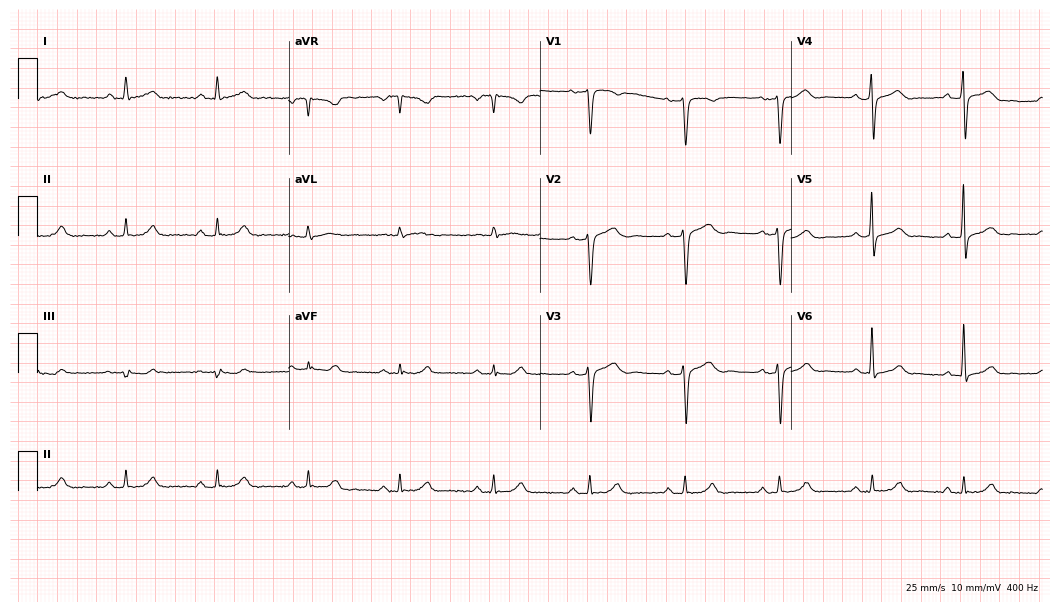
Electrocardiogram (10.2-second recording at 400 Hz), a man, 53 years old. Overall reading on record: normal ECG.